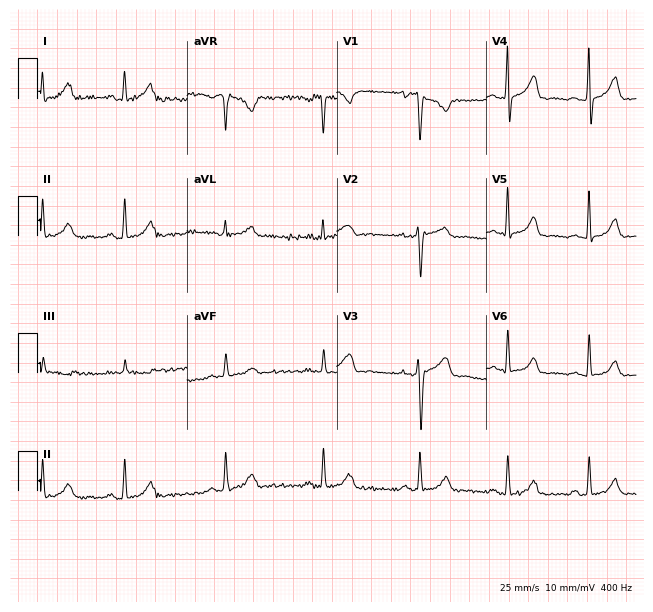
ECG — a woman, 34 years old. Screened for six findings — first-degree AV block, right bundle branch block, left bundle branch block, sinus bradycardia, atrial fibrillation, sinus tachycardia — none is recorded.